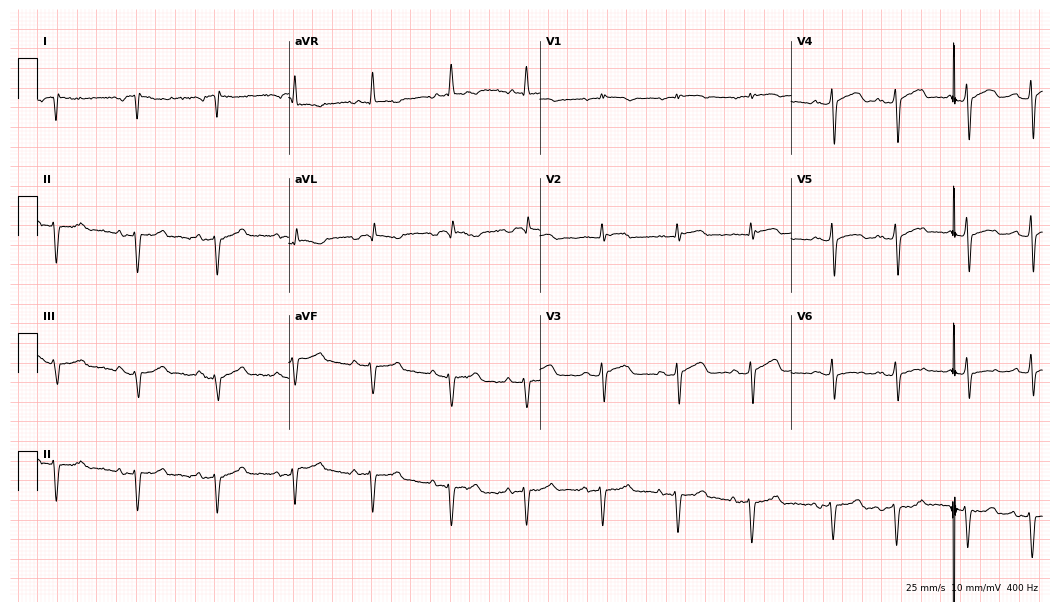
Resting 12-lead electrocardiogram (10.2-second recording at 400 Hz). Patient: an 84-year-old male. None of these six findings is recorded: first-degree AV block, right bundle branch block, left bundle branch block, sinus bradycardia, atrial fibrillation, sinus tachycardia. Only these six findings were labelled.